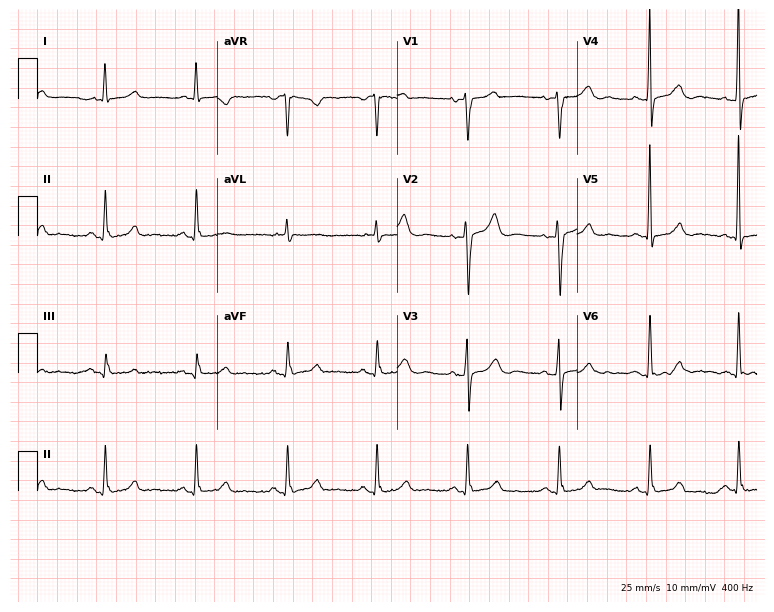
Electrocardiogram (7.3-second recording at 400 Hz), a 71-year-old female patient. Of the six screened findings (first-degree AV block, right bundle branch block (RBBB), left bundle branch block (LBBB), sinus bradycardia, atrial fibrillation (AF), sinus tachycardia), none is recorded.